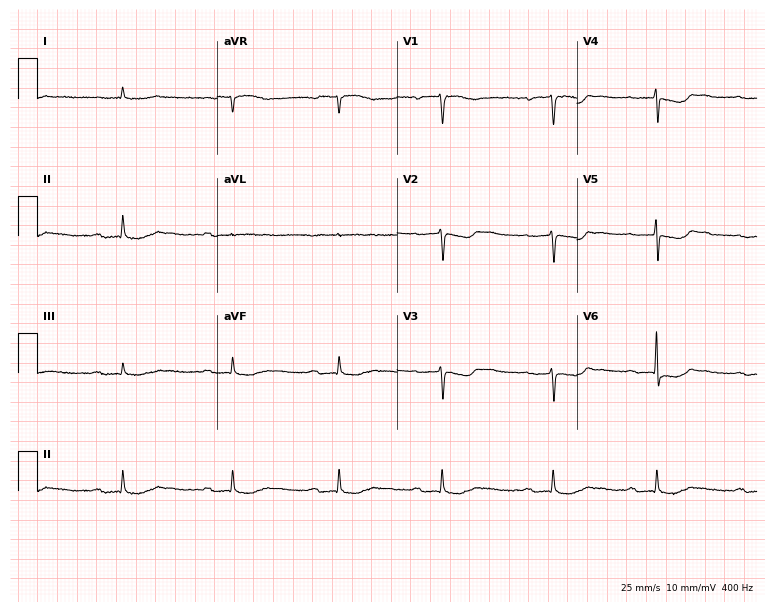
Standard 12-lead ECG recorded from a female, 81 years old (7.3-second recording at 400 Hz). The tracing shows first-degree AV block.